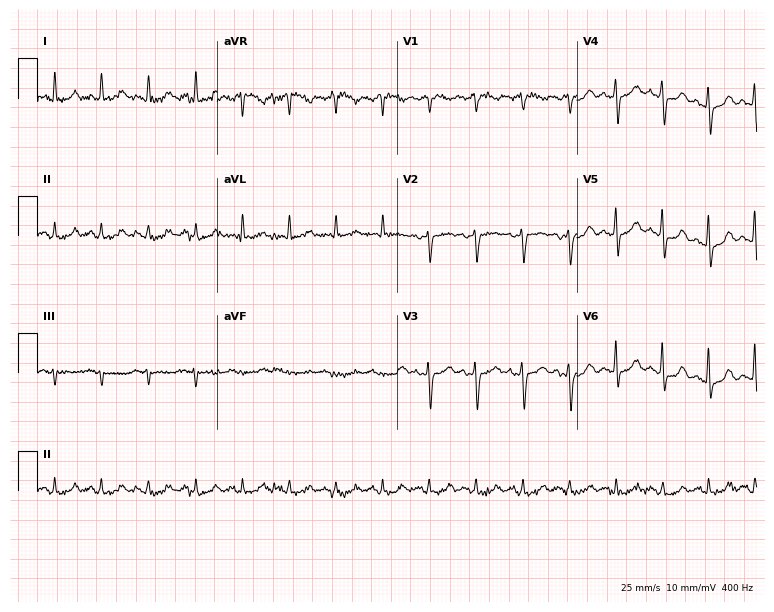
Standard 12-lead ECG recorded from a female patient, 67 years old. None of these six findings is recorded: first-degree AV block, right bundle branch block (RBBB), left bundle branch block (LBBB), sinus bradycardia, atrial fibrillation (AF), sinus tachycardia. Other findings, if any, are not listed.